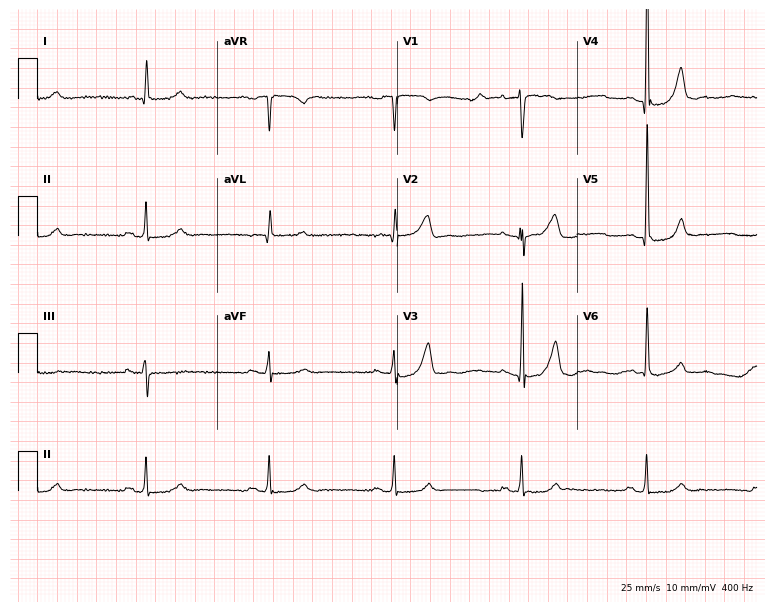
ECG — a 68-year-old male patient. Findings include sinus bradycardia (a sinus rate of 50 beats per minute or less).